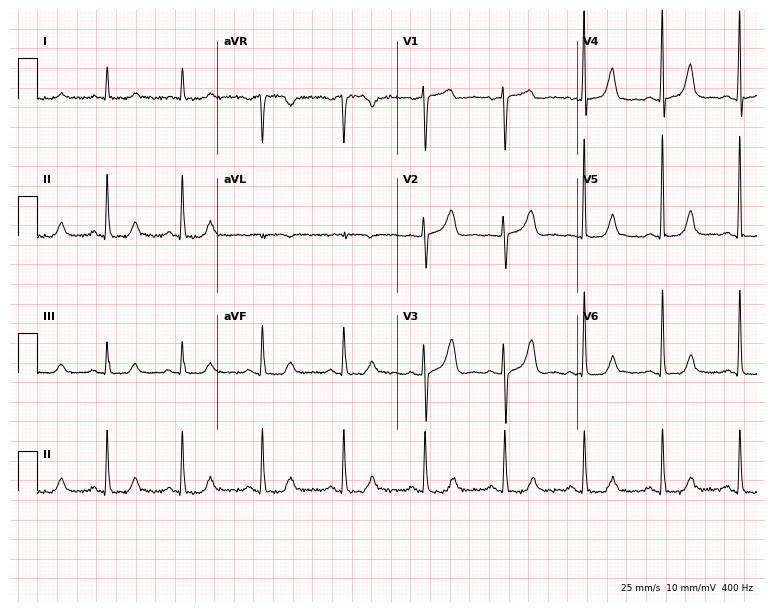
12-lead ECG from a female patient, 66 years old. Screened for six findings — first-degree AV block, right bundle branch block, left bundle branch block, sinus bradycardia, atrial fibrillation, sinus tachycardia — none is recorded. Only these six findings were labelled.